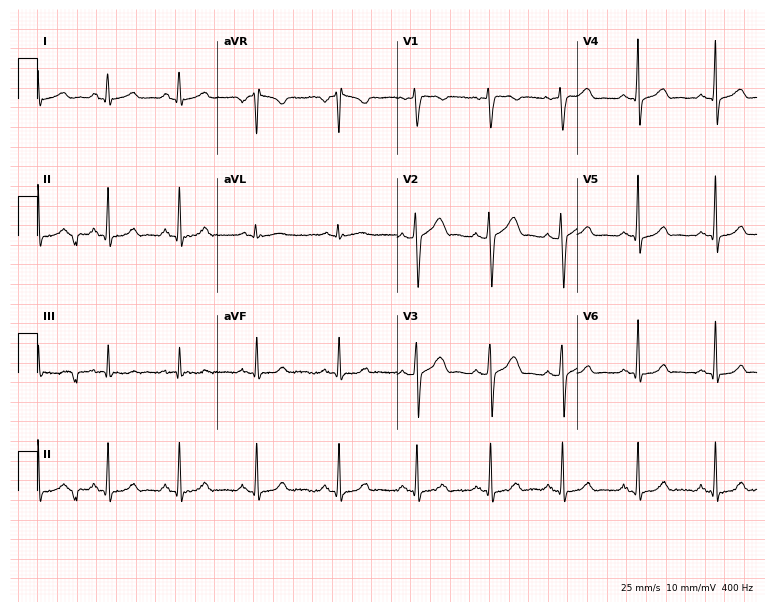
Resting 12-lead electrocardiogram. Patient: a 28-year-old female. Read as a normal ECG.